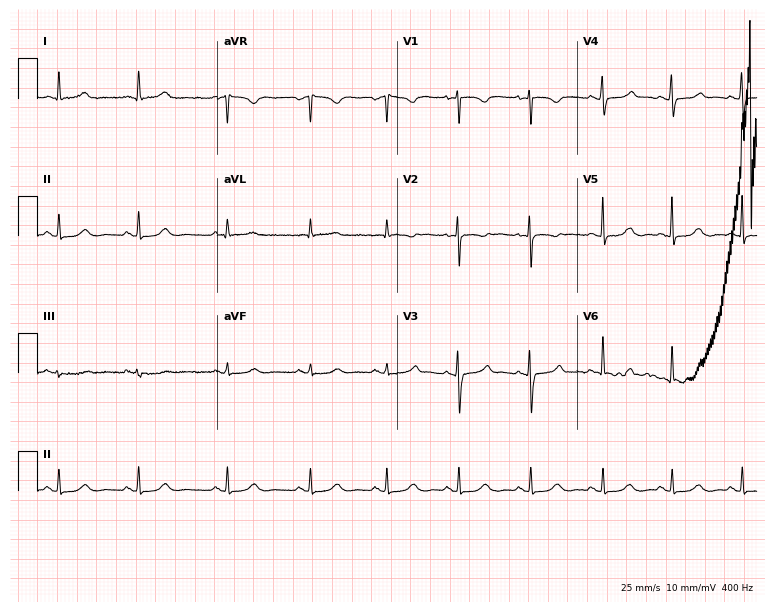
Resting 12-lead electrocardiogram (7.3-second recording at 400 Hz). Patient: a 26-year-old female. Read as a normal ECG.